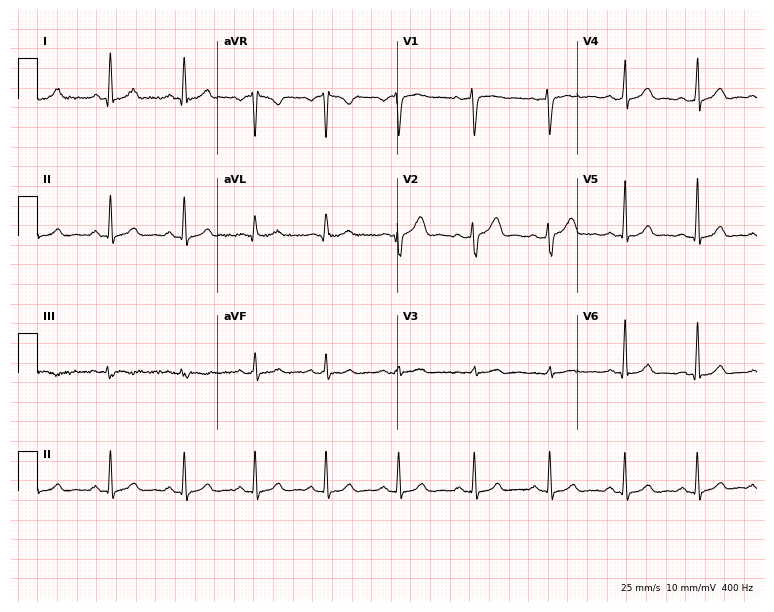
Standard 12-lead ECG recorded from a woman, 34 years old. None of these six findings is recorded: first-degree AV block, right bundle branch block, left bundle branch block, sinus bradycardia, atrial fibrillation, sinus tachycardia. Other findings, if any, are not listed.